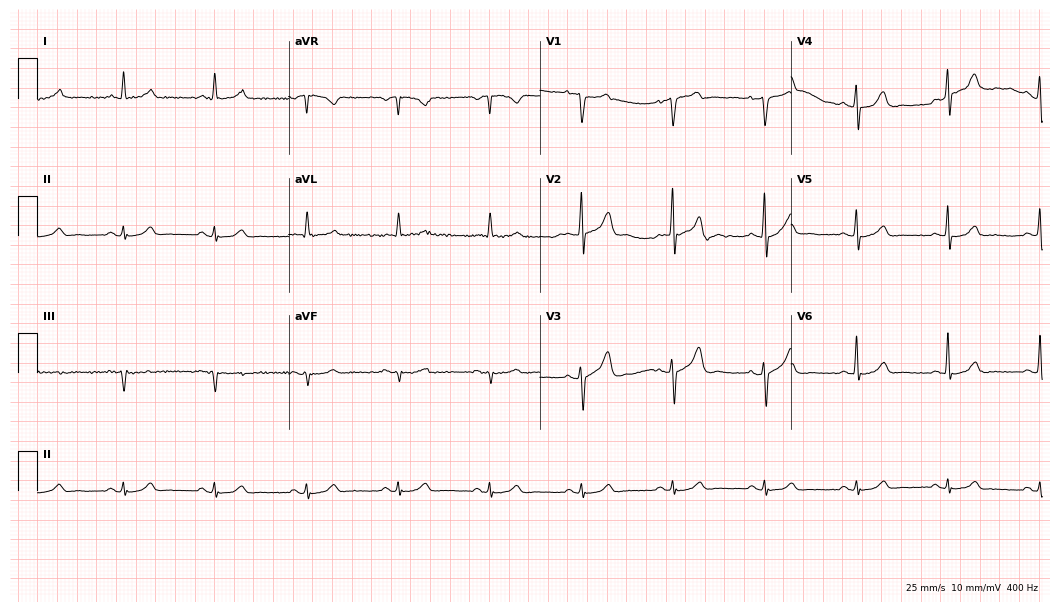
Resting 12-lead electrocardiogram (10.2-second recording at 400 Hz). Patient: a male, 57 years old. Read as a normal ECG.